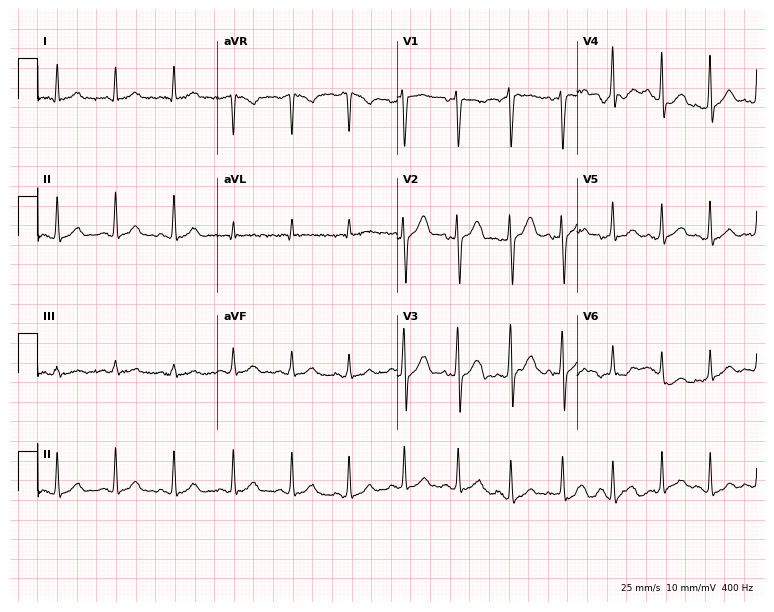
ECG (7.3-second recording at 400 Hz) — a 31-year-old male. Screened for six findings — first-degree AV block, right bundle branch block, left bundle branch block, sinus bradycardia, atrial fibrillation, sinus tachycardia — none is recorded.